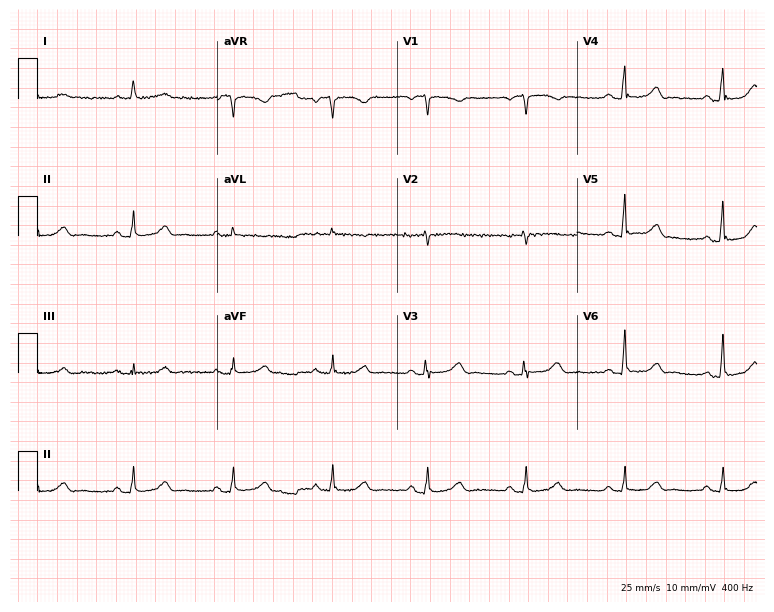
Resting 12-lead electrocardiogram (7.3-second recording at 400 Hz). Patient: an 80-year-old female. Read as a normal ECG.